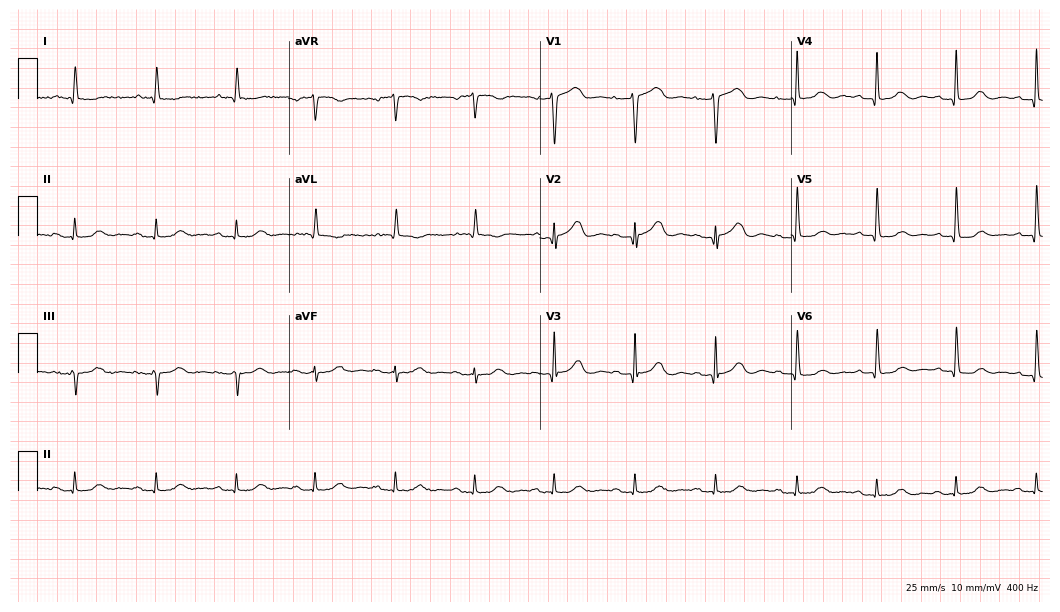
12-lead ECG from an 84-year-old woman. Labelled as a normal ECG.